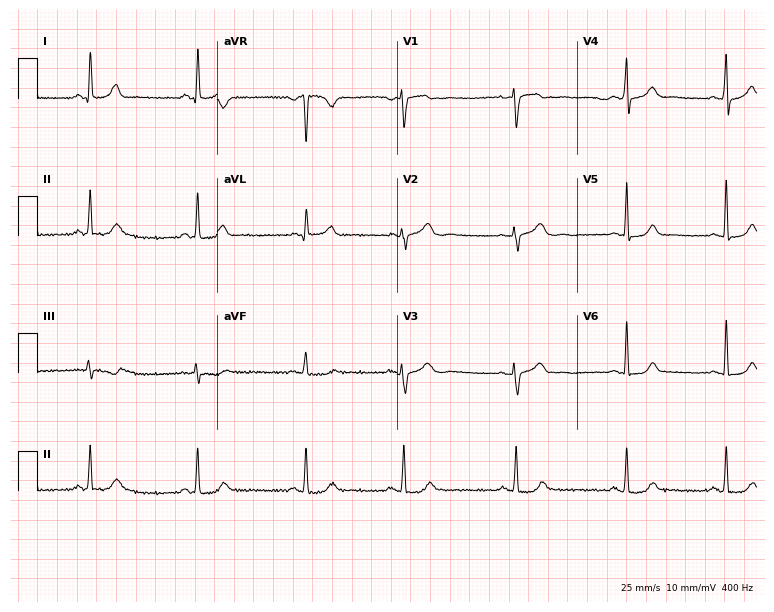
Resting 12-lead electrocardiogram. Patient: a female, 41 years old. Read as a normal ECG.